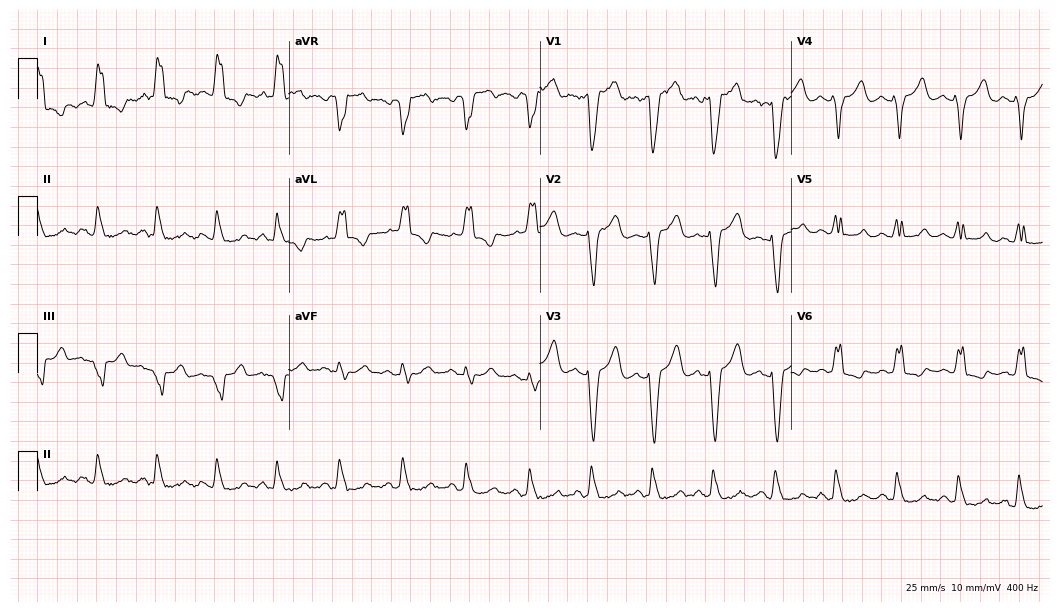
Standard 12-lead ECG recorded from a 64-year-old female. The tracing shows left bundle branch block.